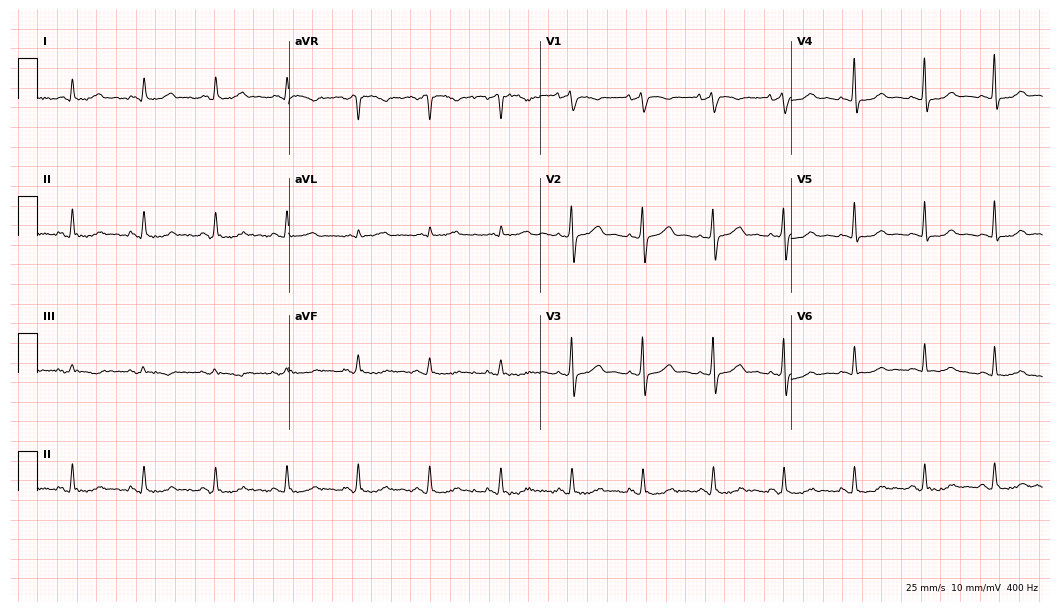
Standard 12-lead ECG recorded from a female, 72 years old. None of these six findings is recorded: first-degree AV block, right bundle branch block (RBBB), left bundle branch block (LBBB), sinus bradycardia, atrial fibrillation (AF), sinus tachycardia.